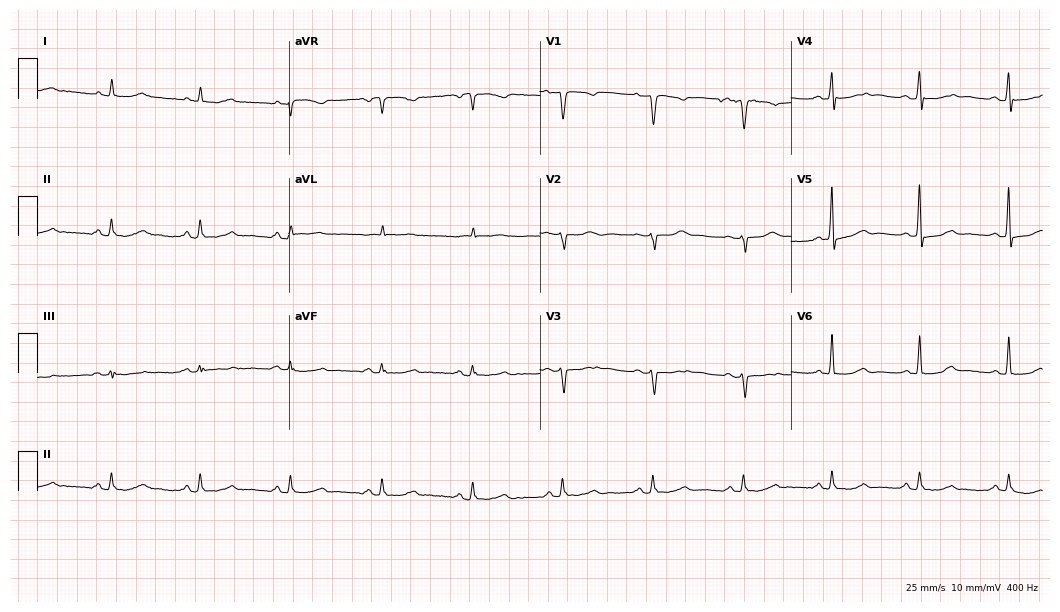
Standard 12-lead ECG recorded from a female patient, 77 years old (10.2-second recording at 400 Hz). Read as a normal ECG.